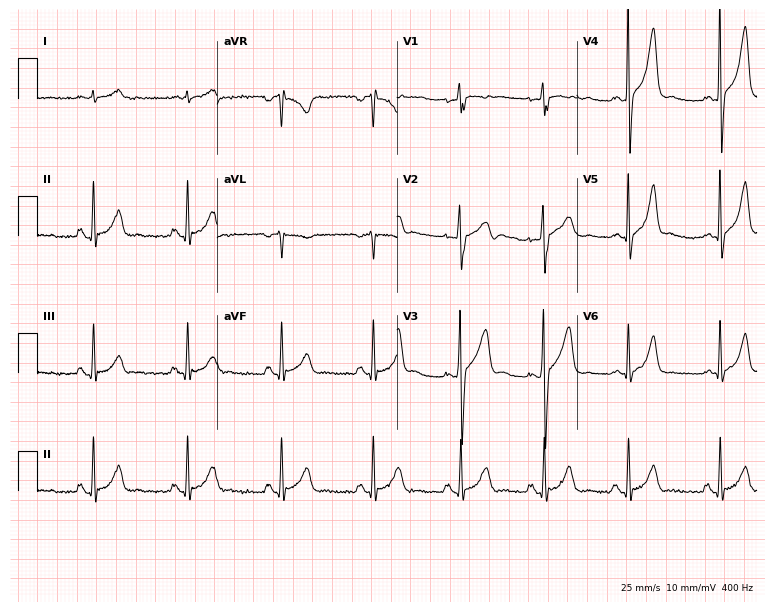
ECG — a 42-year-old man. Labelled as a normal ECG.